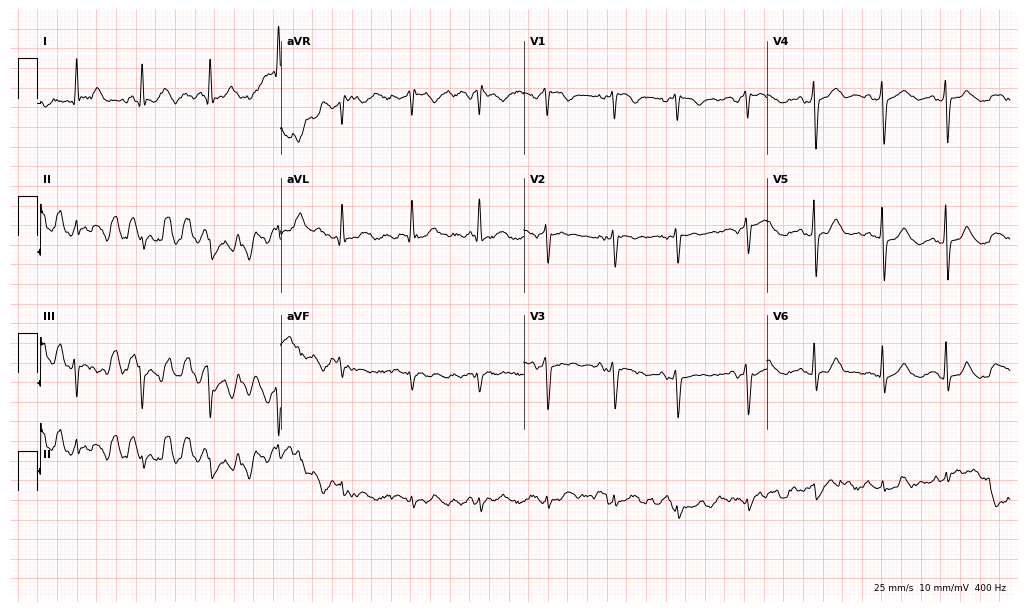
12-lead ECG from a 73-year-old male patient (9.9-second recording at 400 Hz). No first-degree AV block, right bundle branch block, left bundle branch block, sinus bradycardia, atrial fibrillation or sinus tachycardia recorded for this tracing. Only these six findings were labelled.